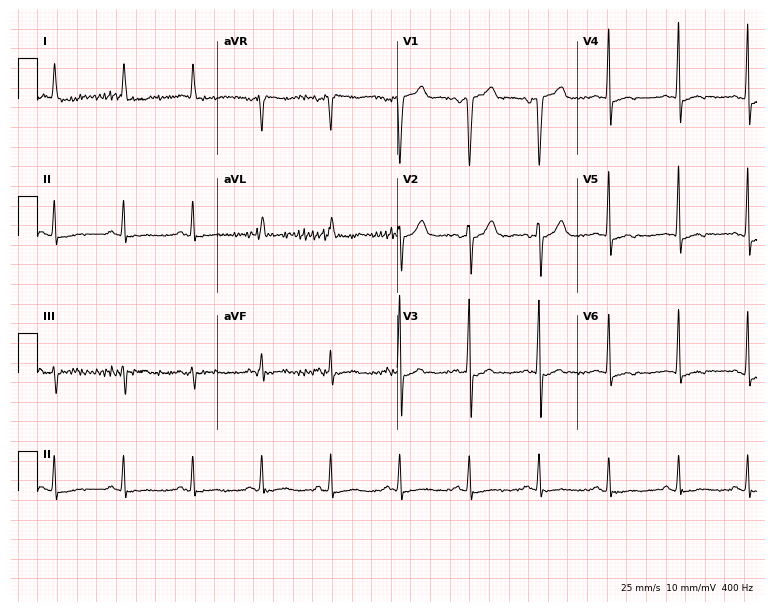
ECG (7.3-second recording at 400 Hz) — a male patient, 77 years old. Labelled as a normal ECG.